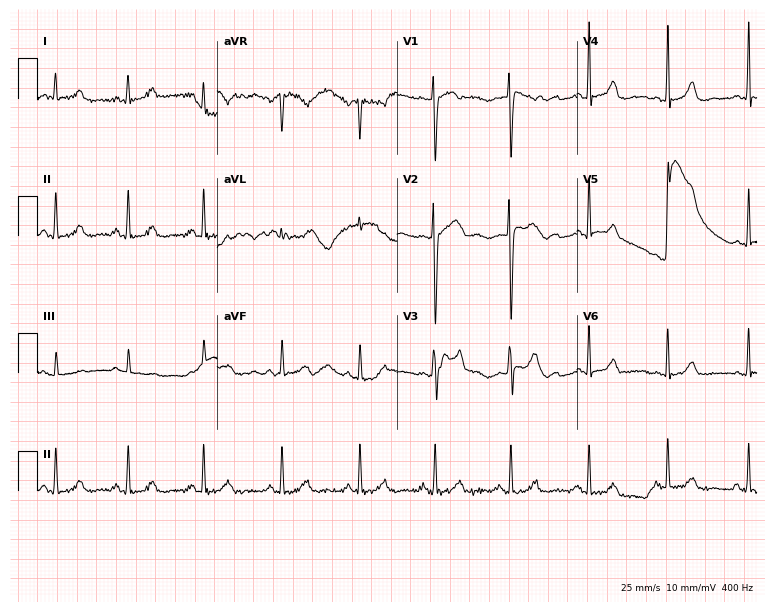
ECG (7.3-second recording at 400 Hz) — a 35-year-old female. Screened for six findings — first-degree AV block, right bundle branch block (RBBB), left bundle branch block (LBBB), sinus bradycardia, atrial fibrillation (AF), sinus tachycardia — none is recorded.